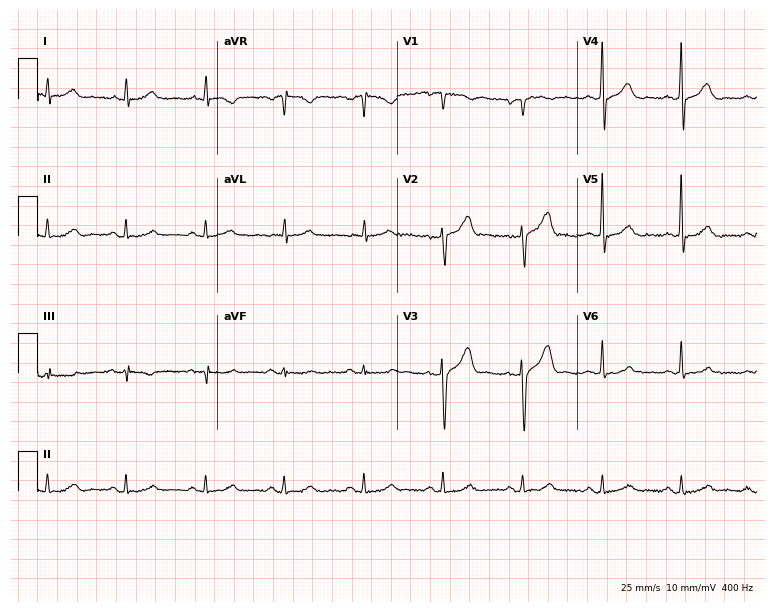
Resting 12-lead electrocardiogram (7.3-second recording at 400 Hz). Patient: a male, 82 years old. Read as a normal ECG.